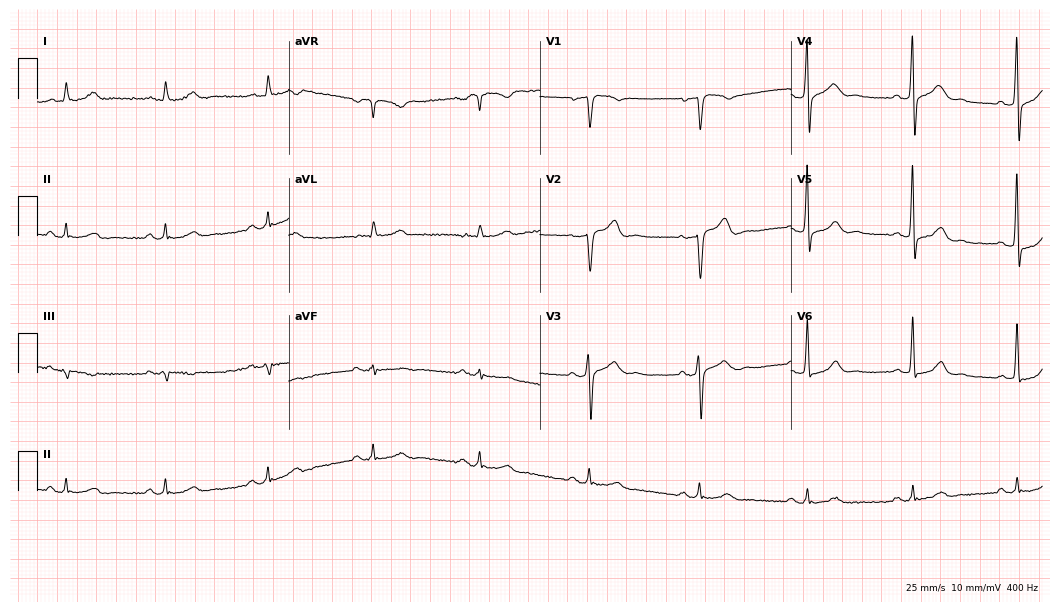
Resting 12-lead electrocardiogram. Patient: a 45-year-old man. Read as a normal ECG.